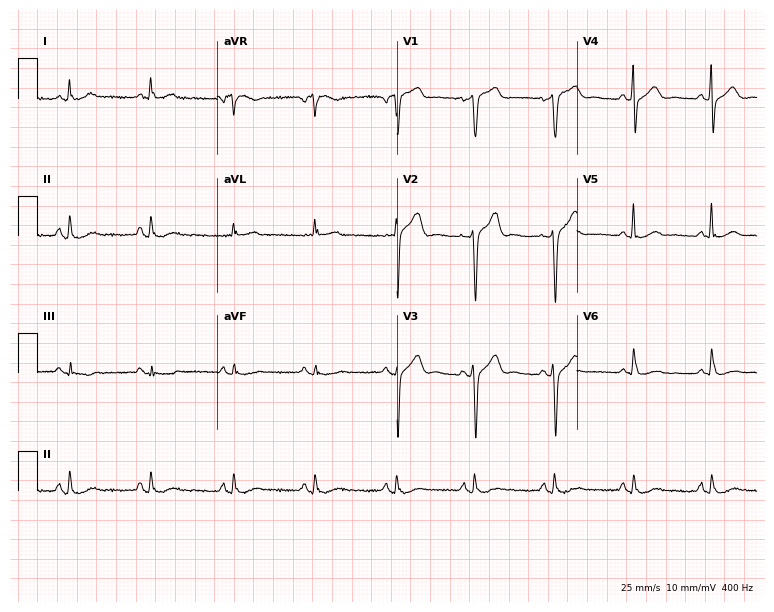
Standard 12-lead ECG recorded from a male patient, 55 years old (7.3-second recording at 400 Hz). None of these six findings is recorded: first-degree AV block, right bundle branch block, left bundle branch block, sinus bradycardia, atrial fibrillation, sinus tachycardia. Only these six findings were labelled.